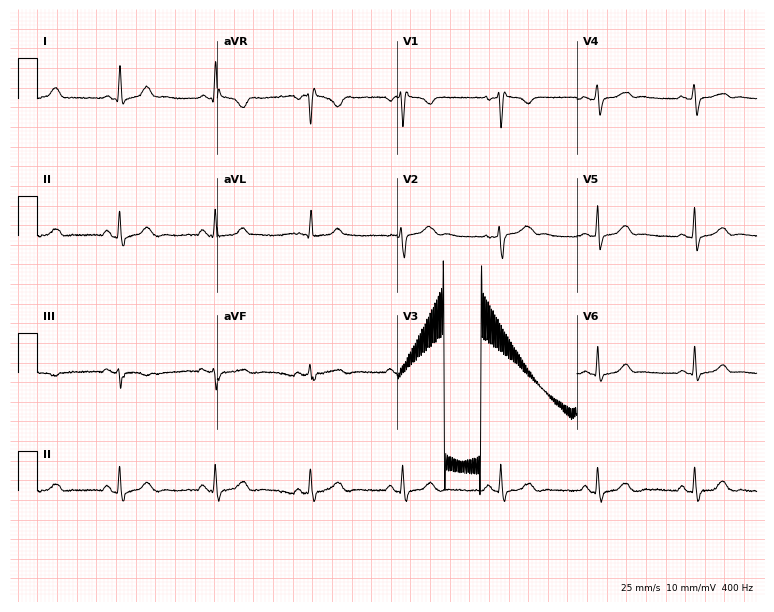
Standard 12-lead ECG recorded from a female patient, 35 years old. None of these six findings is recorded: first-degree AV block, right bundle branch block, left bundle branch block, sinus bradycardia, atrial fibrillation, sinus tachycardia. Only these six findings were labelled.